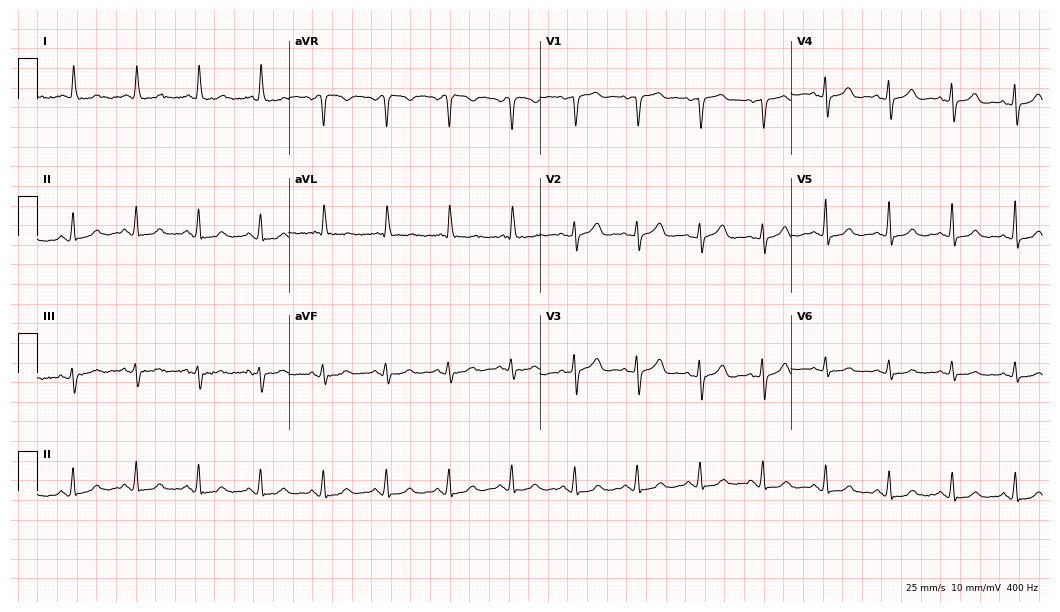
Electrocardiogram, a female, 78 years old. Overall reading on record: normal ECG.